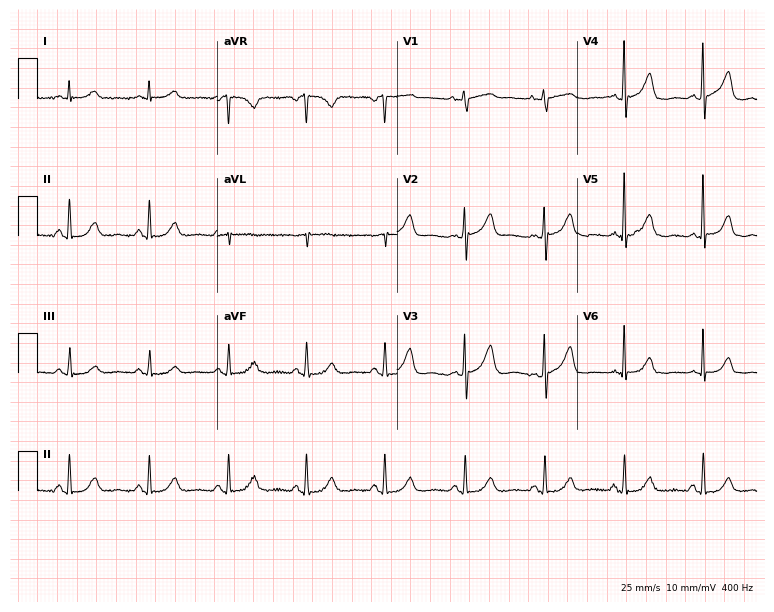
12-lead ECG from a female patient, 77 years old (7.3-second recording at 400 Hz). Recorded interpretation: within normal limits.